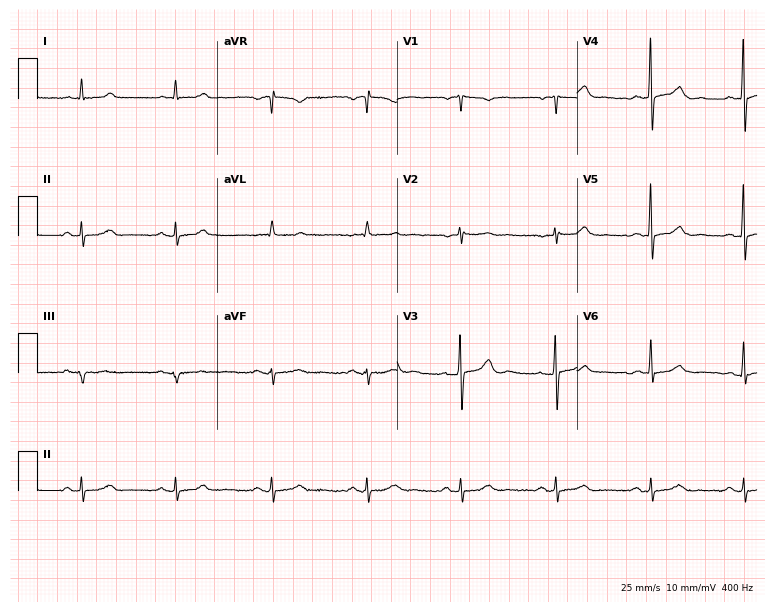
12-lead ECG from a 62-year-old male. No first-degree AV block, right bundle branch block, left bundle branch block, sinus bradycardia, atrial fibrillation or sinus tachycardia recorded for this tracing. Findings outside these six are not listed.